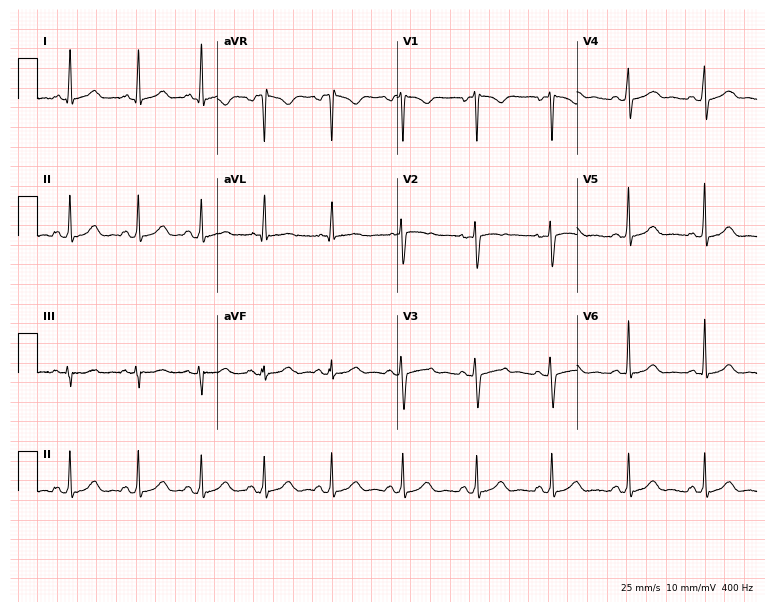
12-lead ECG (7.3-second recording at 400 Hz) from a 26-year-old female patient. Screened for six findings — first-degree AV block, right bundle branch block (RBBB), left bundle branch block (LBBB), sinus bradycardia, atrial fibrillation (AF), sinus tachycardia — none is recorded. Findings outside these six are not listed.